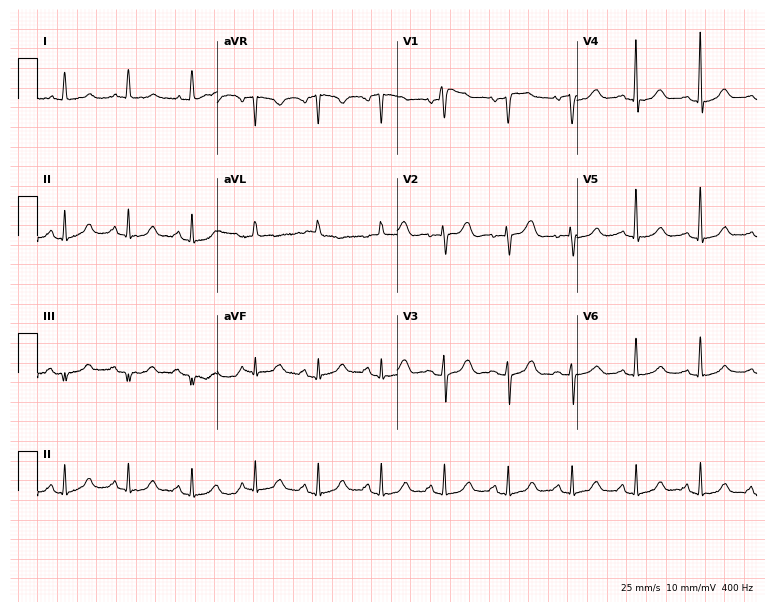
Electrocardiogram (7.3-second recording at 400 Hz), a female, 62 years old. Overall reading on record: normal ECG.